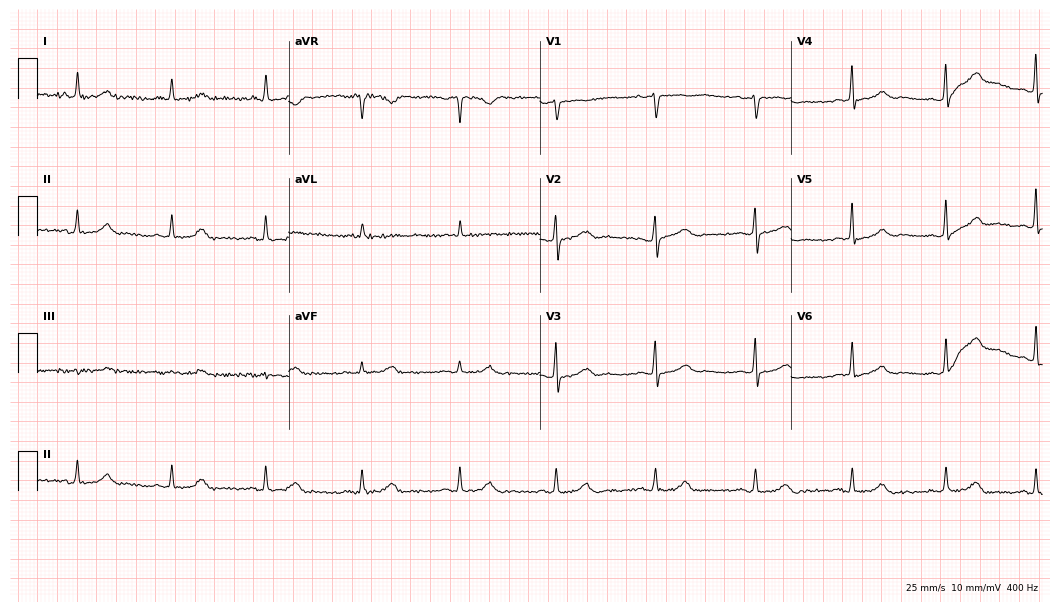
Resting 12-lead electrocardiogram (10.2-second recording at 400 Hz). Patient: a 55-year-old female. Read as a normal ECG.